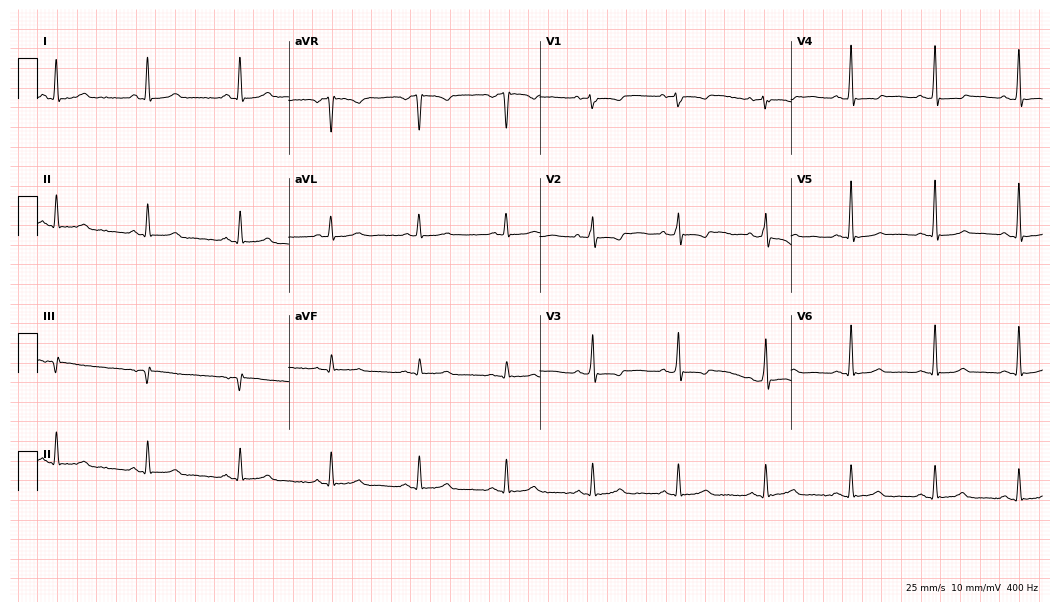
ECG (10.2-second recording at 400 Hz) — a 53-year-old man. Screened for six findings — first-degree AV block, right bundle branch block, left bundle branch block, sinus bradycardia, atrial fibrillation, sinus tachycardia — none is recorded. Only these six findings were labelled.